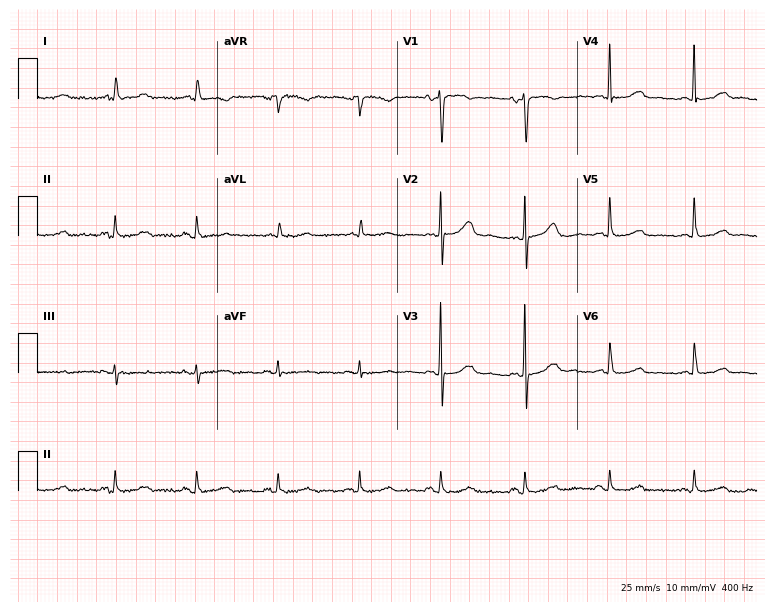
Electrocardiogram (7.3-second recording at 400 Hz), a female patient, 56 years old. Overall reading on record: normal ECG.